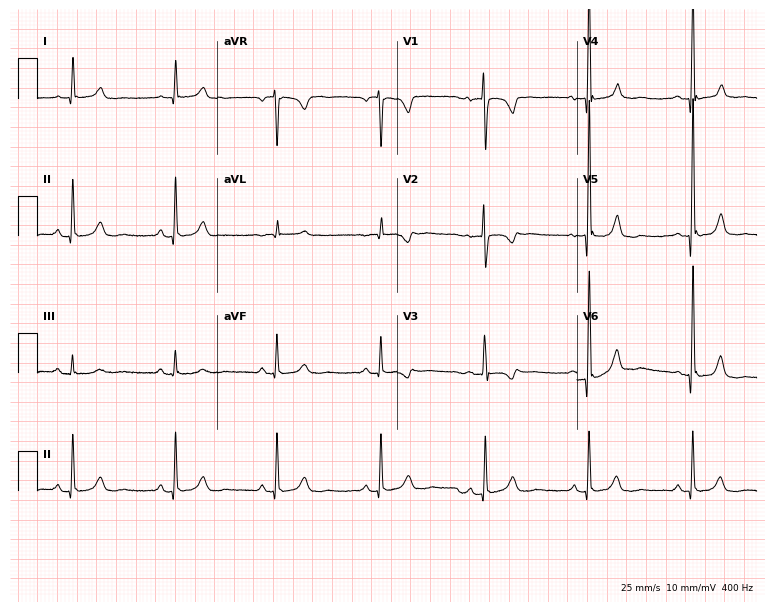
Electrocardiogram, a female patient, 48 years old. Of the six screened findings (first-degree AV block, right bundle branch block, left bundle branch block, sinus bradycardia, atrial fibrillation, sinus tachycardia), none is recorded.